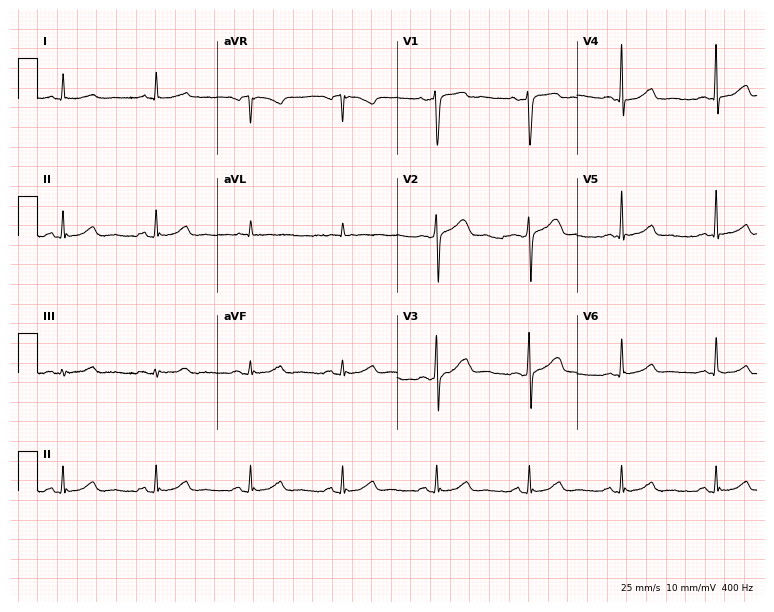
Resting 12-lead electrocardiogram (7.3-second recording at 400 Hz). Patient: a 52-year-old male. Read as a normal ECG.